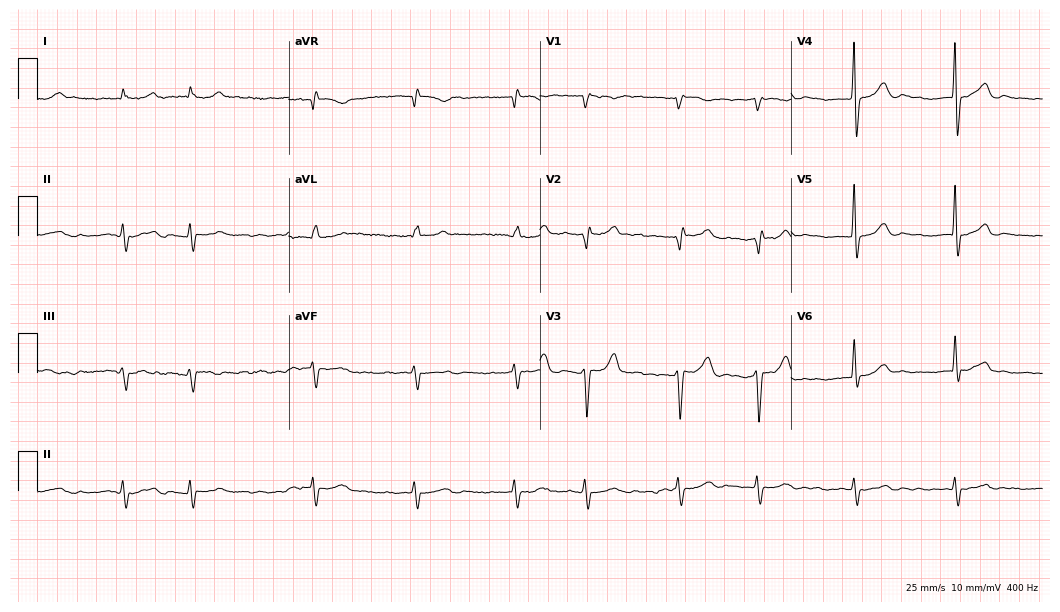
Resting 12-lead electrocardiogram. Patient: a male, 77 years old. The tracing shows atrial fibrillation.